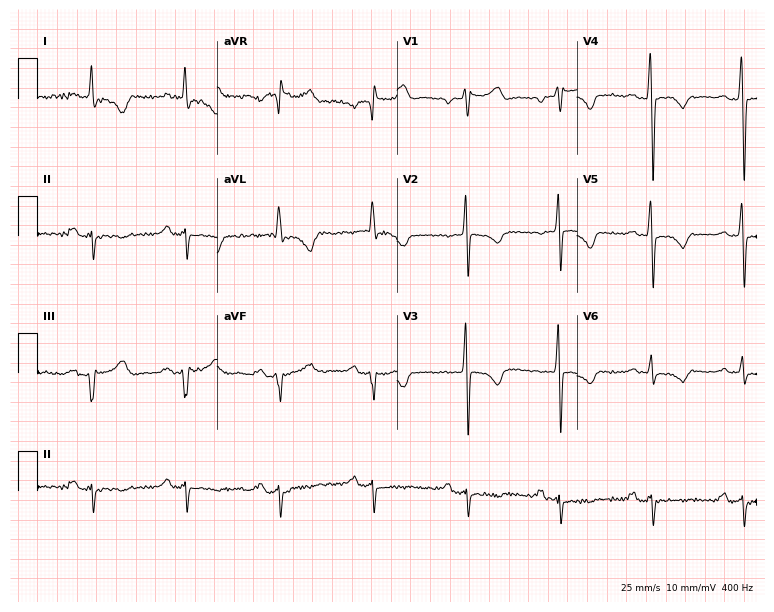
Electrocardiogram, a 41-year-old male. Of the six screened findings (first-degree AV block, right bundle branch block (RBBB), left bundle branch block (LBBB), sinus bradycardia, atrial fibrillation (AF), sinus tachycardia), none is recorded. Only these six findings were labelled.